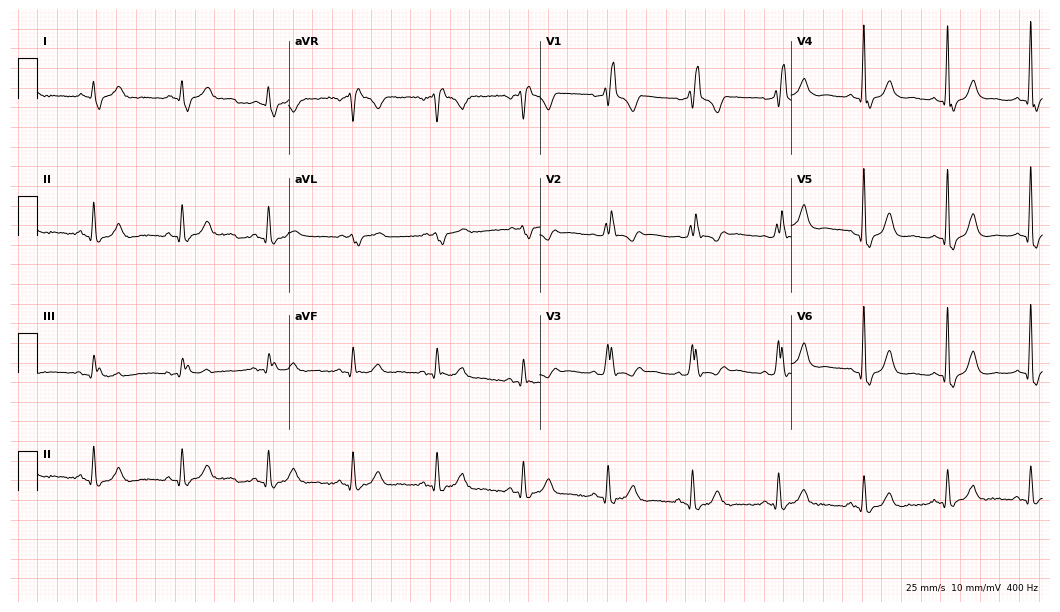
12-lead ECG (10.2-second recording at 400 Hz) from a 63-year-old male patient. Screened for six findings — first-degree AV block, right bundle branch block, left bundle branch block, sinus bradycardia, atrial fibrillation, sinus tachycardia — none is recorded.